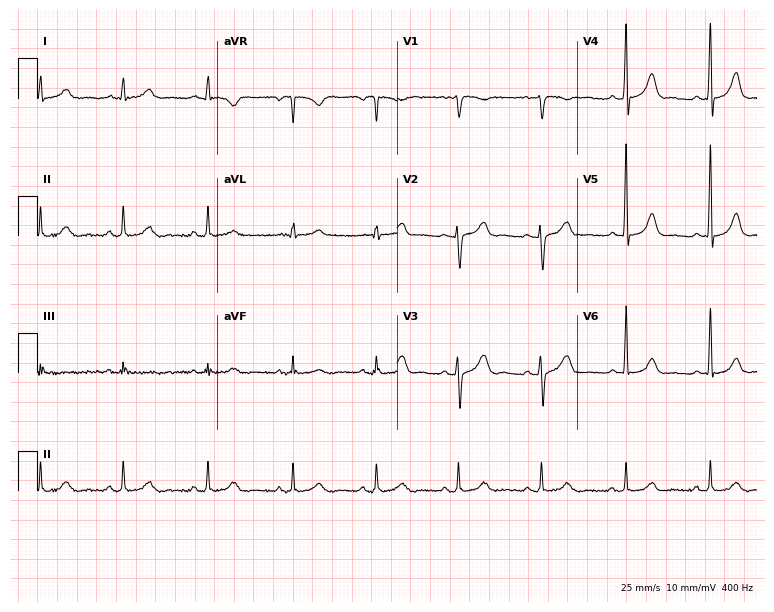
Electrocardiogram, a 36-year-old female. Overall reading on record: normal ECG.